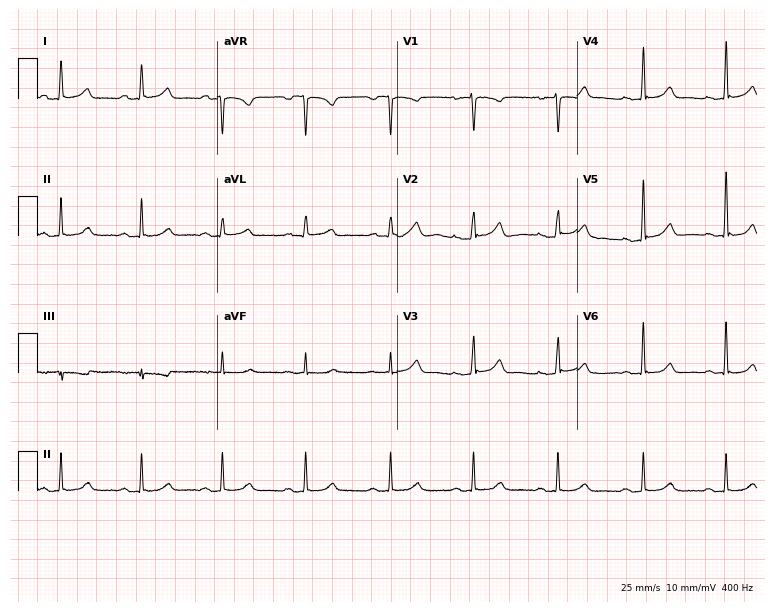
12-lead ECG from a 29-year-old woman. Screened for six findings — first-degree AV block, right bundle branch block, left bundle branch block, sinus bradycardia, atrial fibrillation, sinus tachycardia — none is recorded. Findings outside these six are not listed.